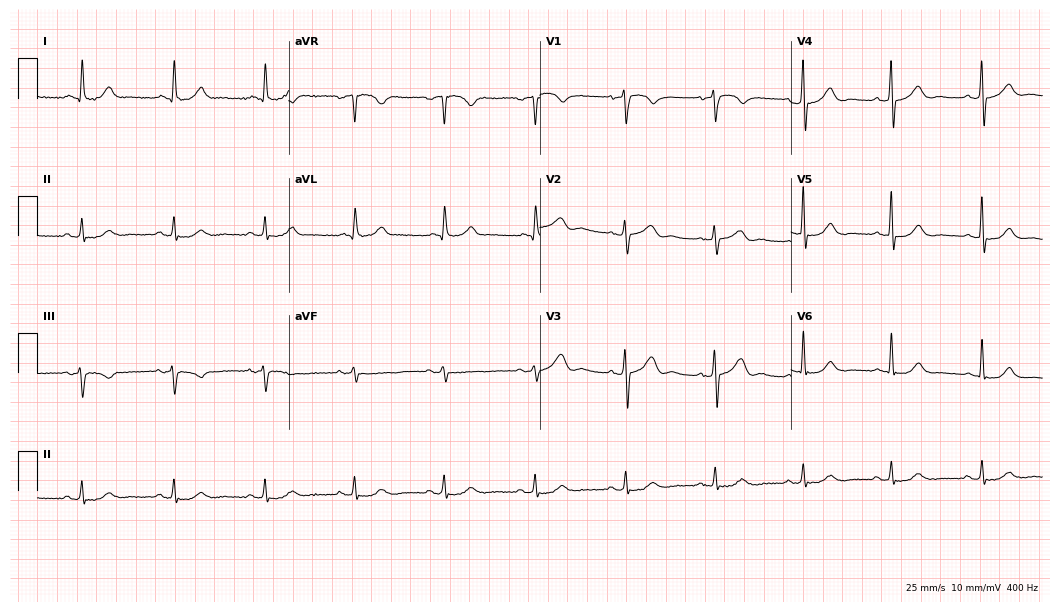
Standard 12-lead ECG recorded from a man, 66 years old (10.2-second recording at 400 Hz). Read as a normal ECG.